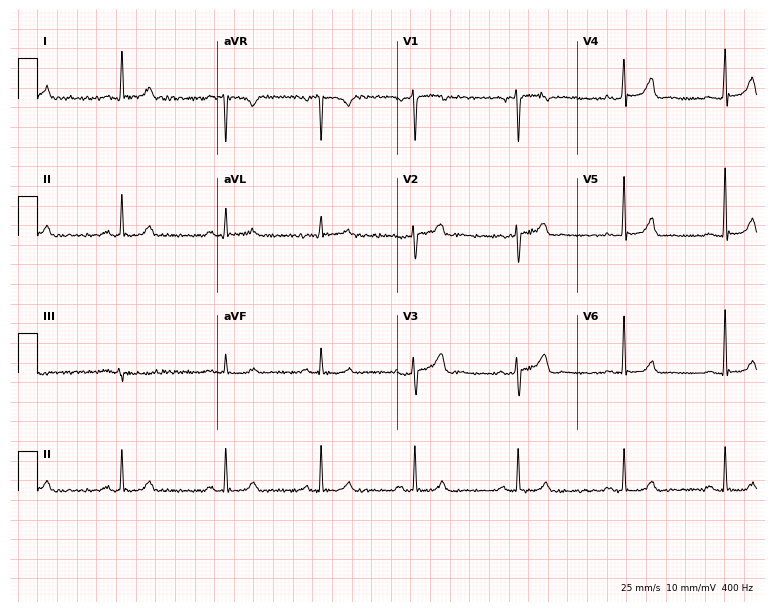
12-lead ECG from a 48-year-old woman. Labelled as a normal ECG.